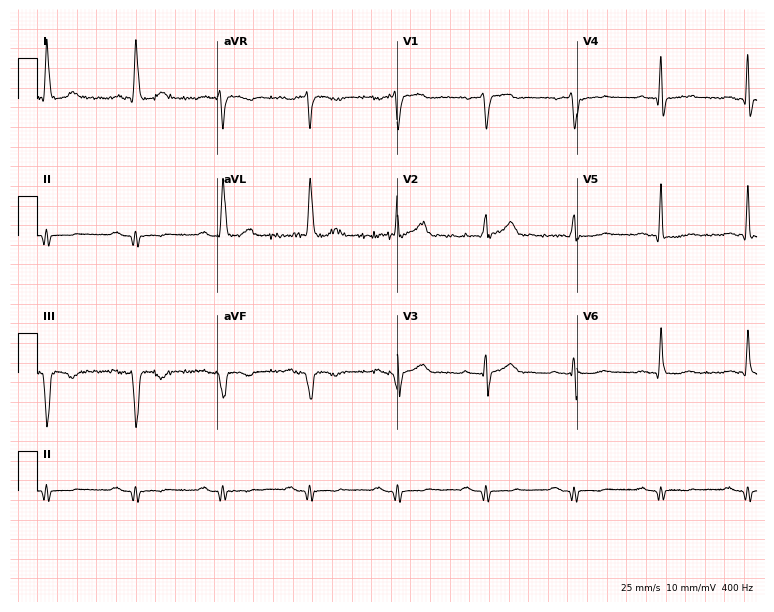
12-lead ECG from a male, 80 years old. No first-degree AV block, right bundle branch block (RBBB), left bundle branch block (LBBB), sinus bradycardia, atrial fibrillation (AF) or sinus tachycardia recorded for this tracing. Only these six findings were labelled.